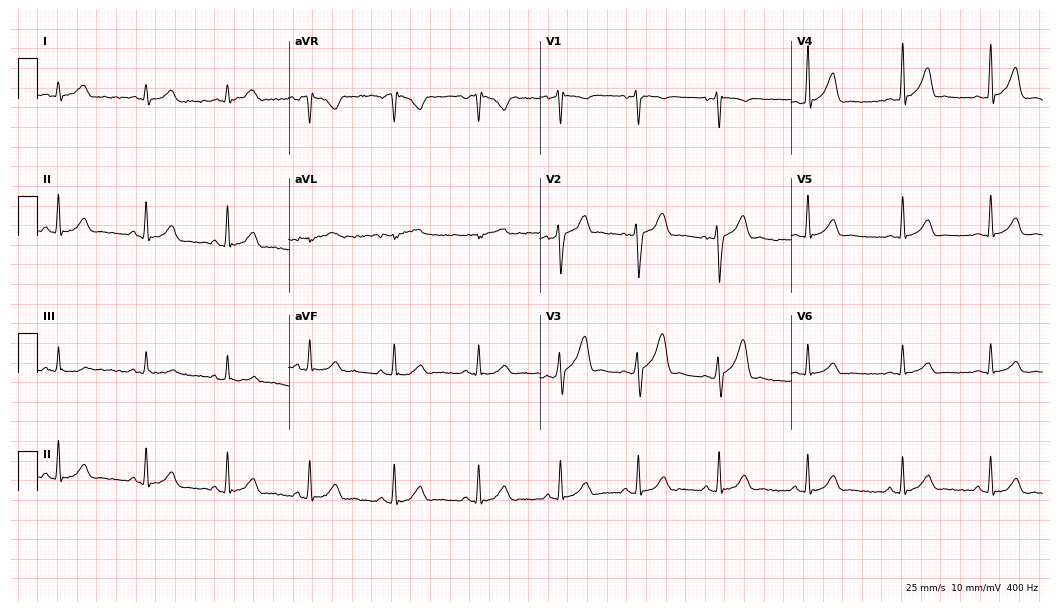
Standard 12-lead ECG recorded from a male patient, 32 years old. Read as a normal ECG.